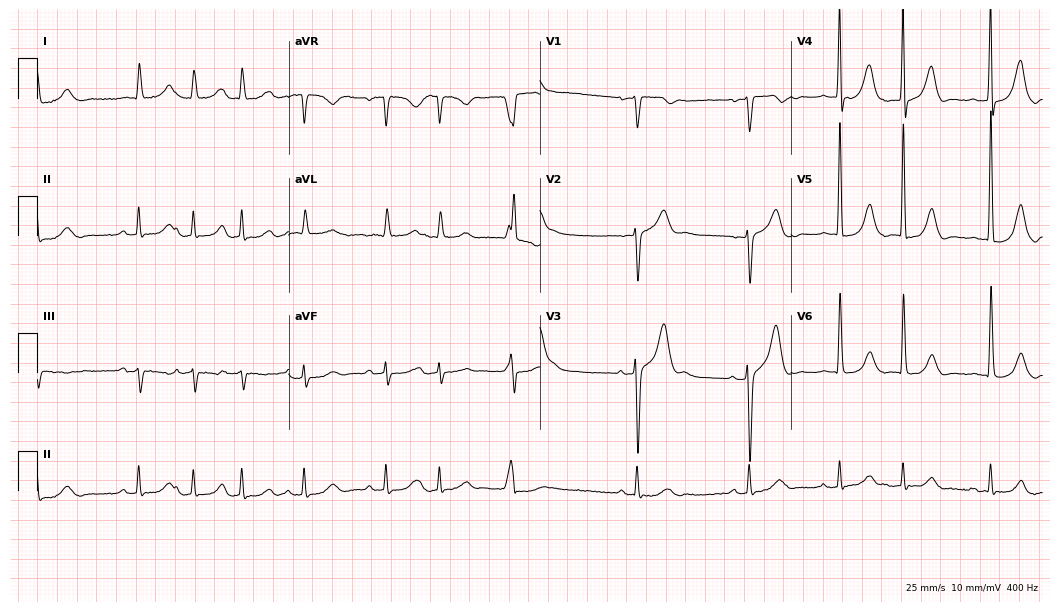
12-lead ECG from a 79-year-old male. Screened for six findings — first-degree AV block, right bundle branch block, left bundle branch block, sinus bradycardia, atrial fibrillation, sinus tachycardia — none is recorded.